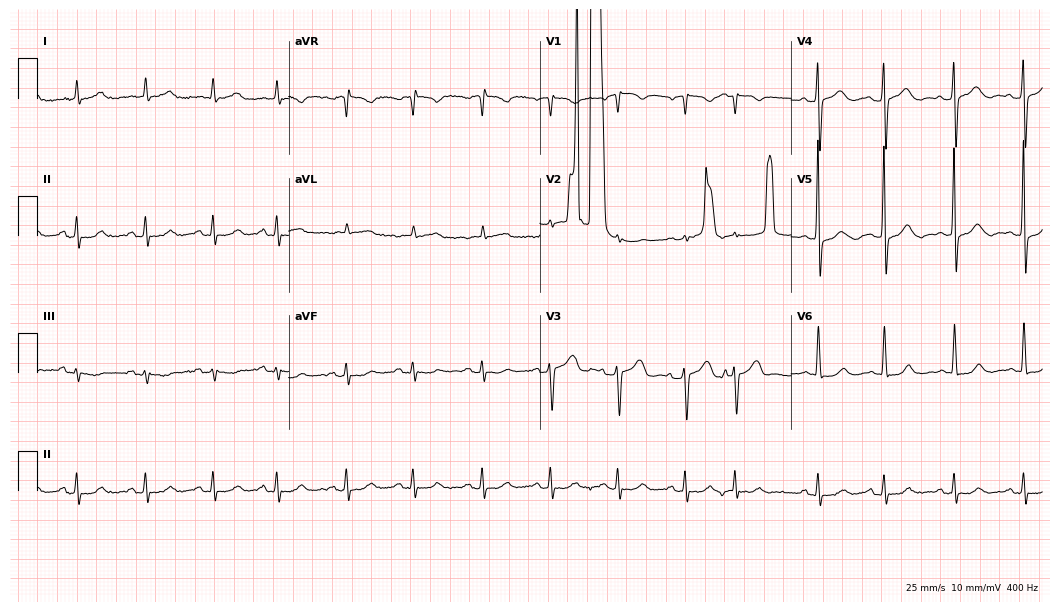
Standard 12-lead ECG recorded from a 79-year-old female (10.2-second recording at 400 Hz). None of these six findings is recorded: first-degree AV block, right bundle branch block, left bundle branch block, sinus bradycardia, atrial fibrillation, sinus tachycardia.